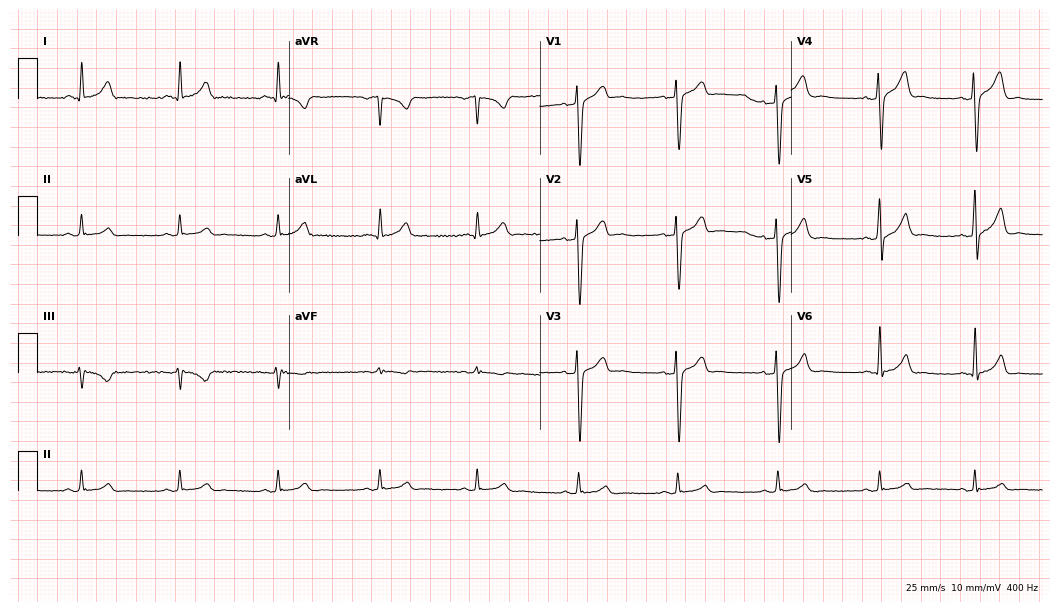
12-lead ECG from a male patient, 38 years old. No first-degree AV block, right bundle branch block, left bundle branch block, sinus bradycardia, atrial fibrillation or sinus tachycardia recorded for this tracing.